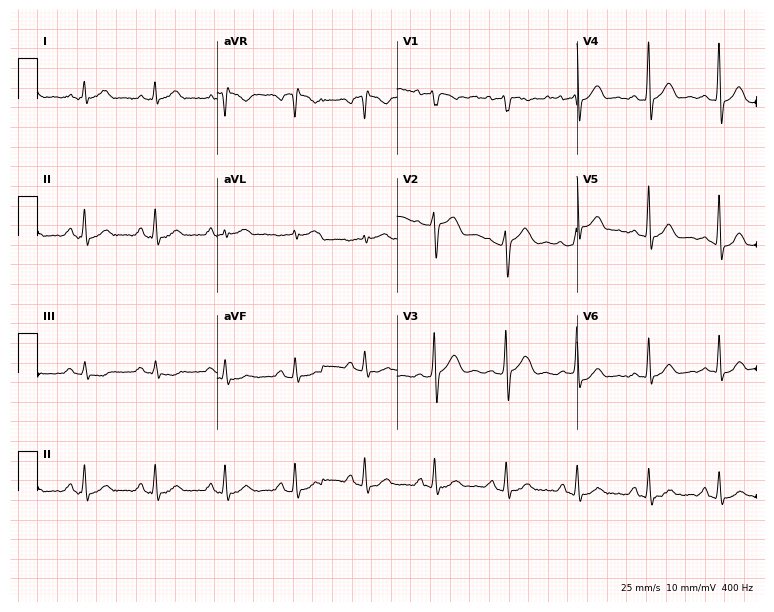
ECG (7.3-second recording at 400 Hz) — a 54-year-old male patient. Screened for six findings — first-degree AV block, right bundle branch block (RBBB), left bundle branch block (LBBB), sinus bradycardia, atrial fibrillation (AF), sinus tachycardia — none is recorded. Findings outside these six are not listed.